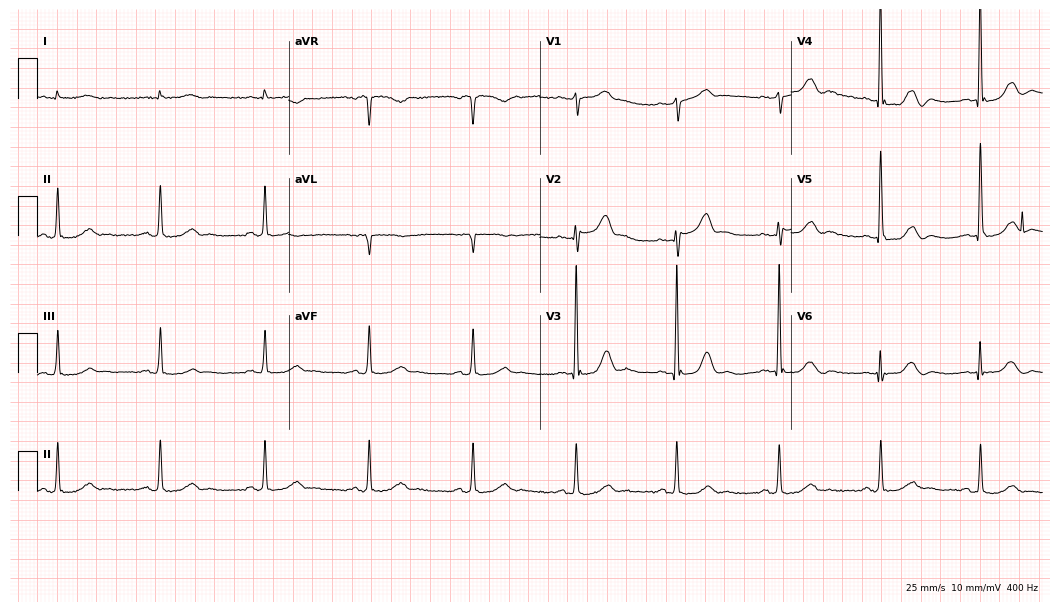
12-lead ECG from a female patient, 80 years old. Recorded interpretation: within normal limits.